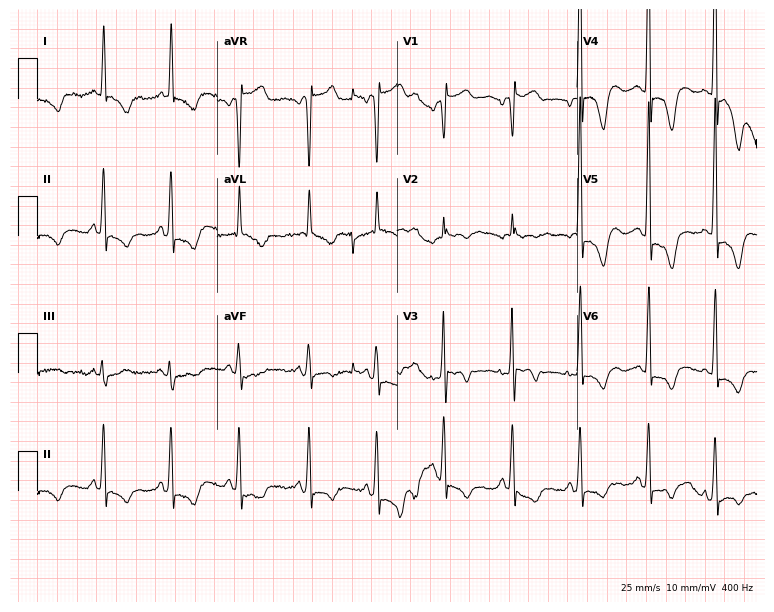
Resting 12-lead electrocardiogram (7.3-second recording at 400 Hz). Patient: a female, 63 years old. None of these six findings is recorded: first-degree AV block, right bundle branch block, left bundle branch block, sinus bradycardia, atrial fibrillation, sinus tachycardia.